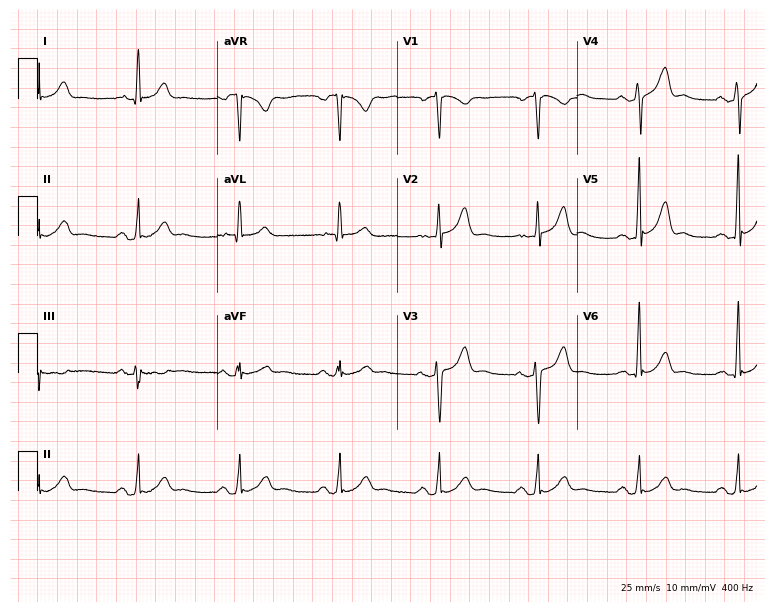
12-lead ECG from a male patient, 65 years old (7.3-second recording at 400 Hz). No first-degree AV block, right bundle branch block, left bundle branch block, sinus bradycardia, atrial fibrillation or sinus tachycardia recorded for this tracing. Only these six findings were labelled.